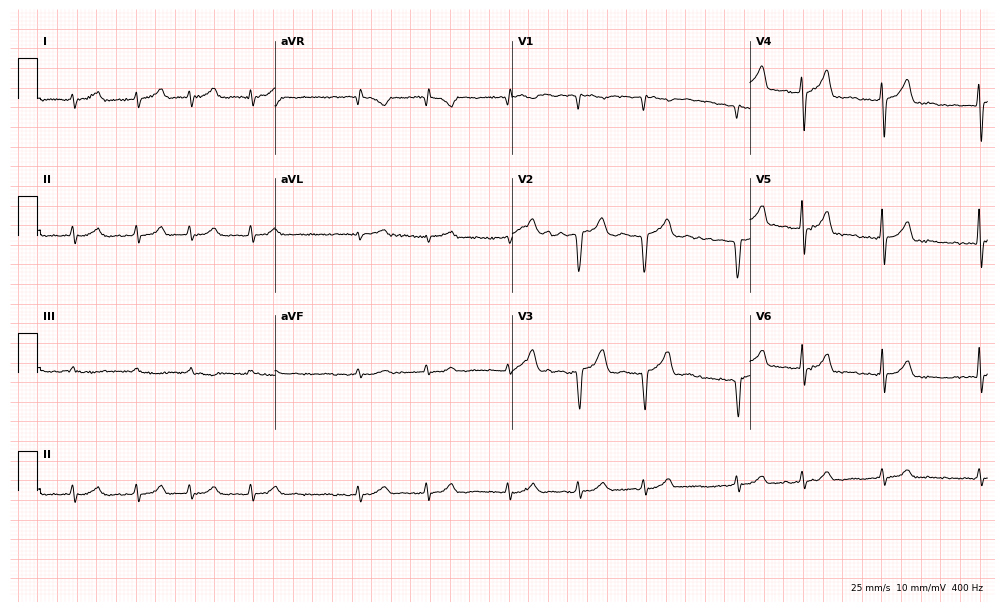
Electrocardiogram (9.7-second recording at 400 Hz), a 63-year-old male. Interpretation includes atrial fibrillation.